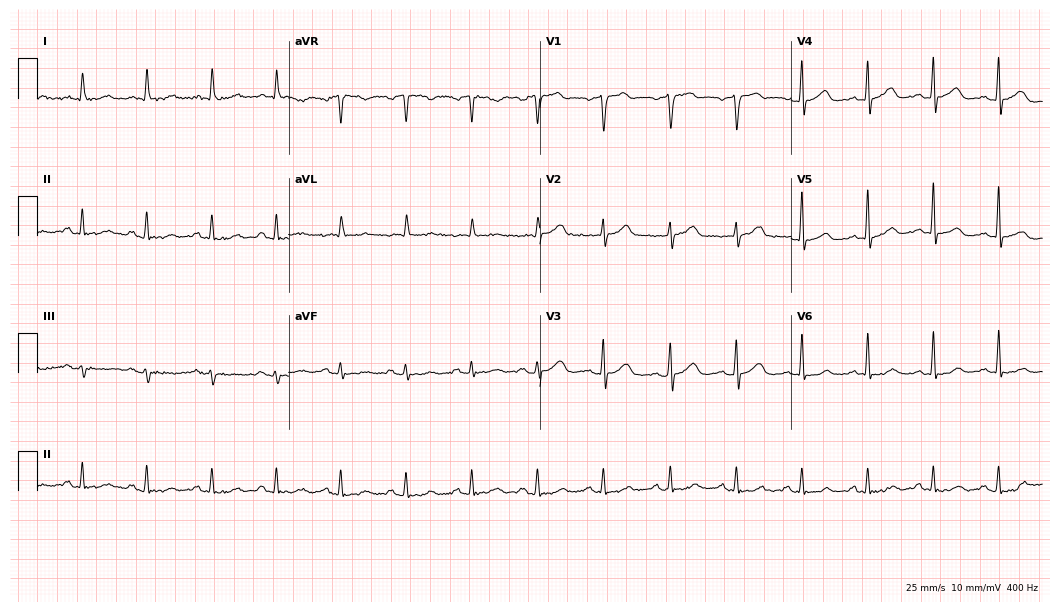
Standard 12-lead ECG recorded from a male, 73 years old. None of these six findings is recorded: first-degree AV block, right bundle branch block, left bundle branch block, sinus bradycardia, atrial fibrillation, sinus tachycardia. Only these six findings were labelled.